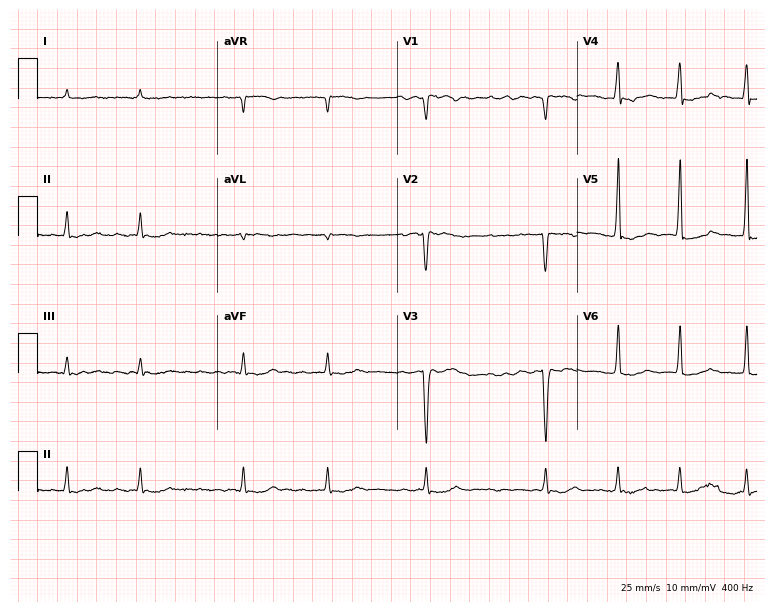
12-lead ECG from a man, 77 years old. Findings include atrial fibrillation.